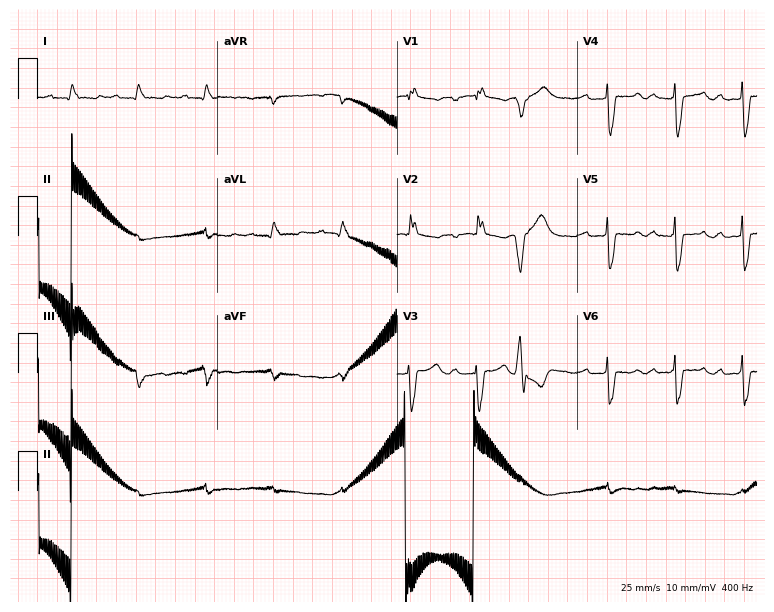
Resting 12-lead electrocardiogram. Patient: a 57-year-old woman. None of these six findings is recorded: first-degree AV block, right bundle branch block (RBBB), left bundle branch block (LBBB), sinus bradycardia, atrial fibrillation (AF), sinus tachycardia.